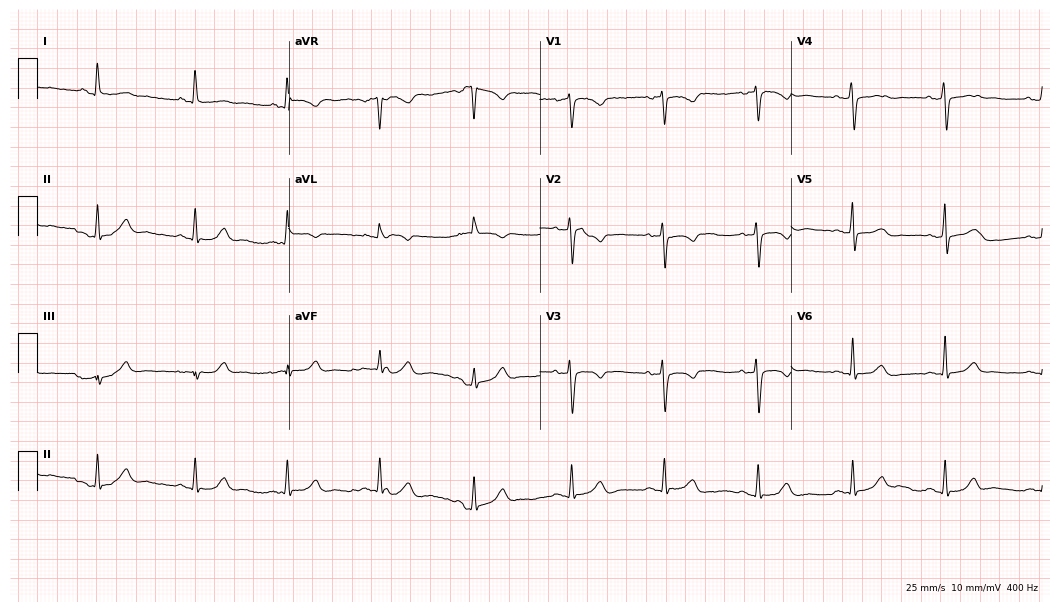
ECG — a female patient, 41 years old. Screened for six findings — first-degree AV block, right bundle branch block, left bundle branch block, sinus bradycardia, atrial fibrillation, sinus tachycardia — none is recorded.